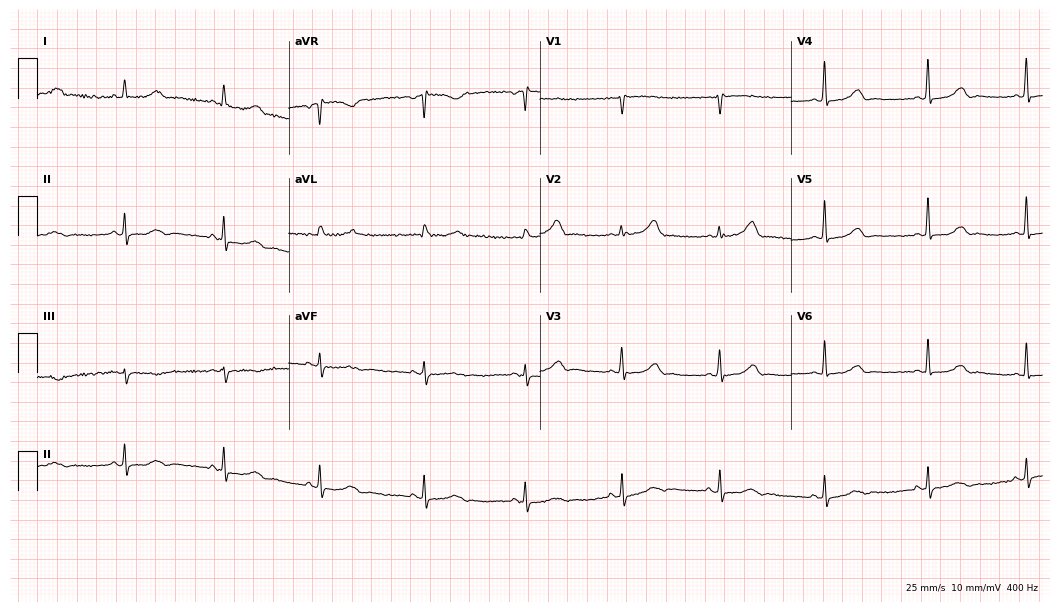
12-lead ECG from a 67-year-old female patient (10.2-second recording at 400 Hz). No first-degree AV block, right bundle branch block, left bundle branch block, sinus bradycardia, atrial fibrillation or sinus tachycardia recorded for this tracing. Findings outside these six are not listed.